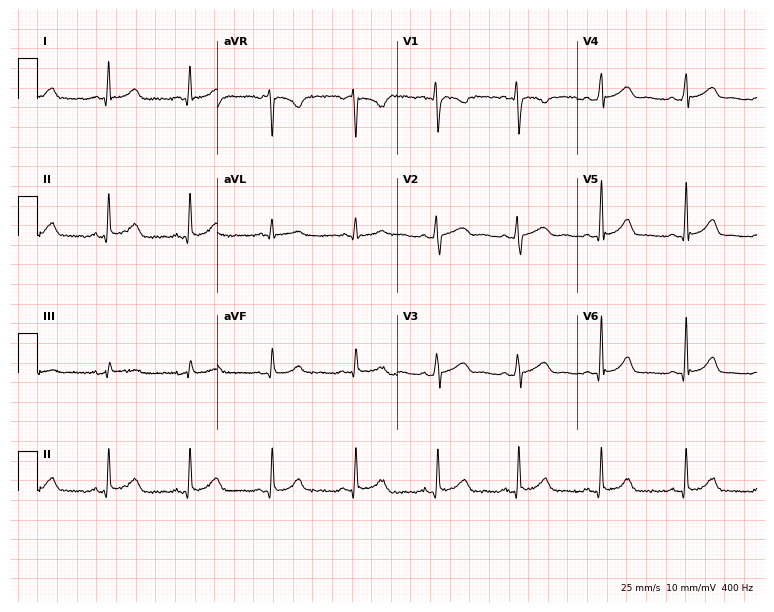
12-lead ECG (7.3-second recording at 400 Hz) from a 34-year-old female patient. Labelled as a normal ECG.